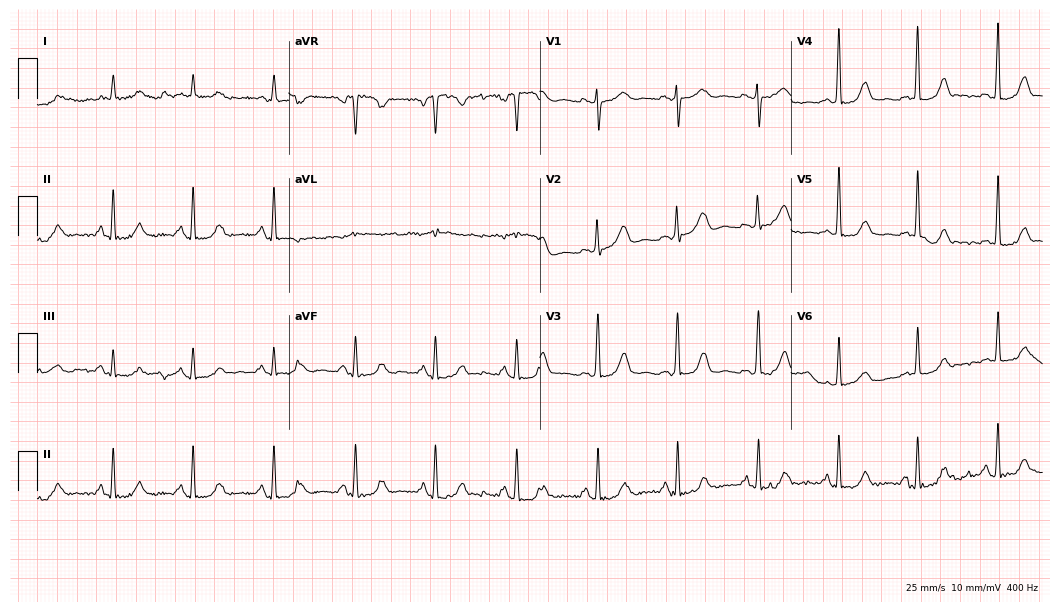
Resting 12-lead electrocardiogram (10.2-second recording at 400 Hz). Patient: a female, 70 years old. Read as a normal ECG.